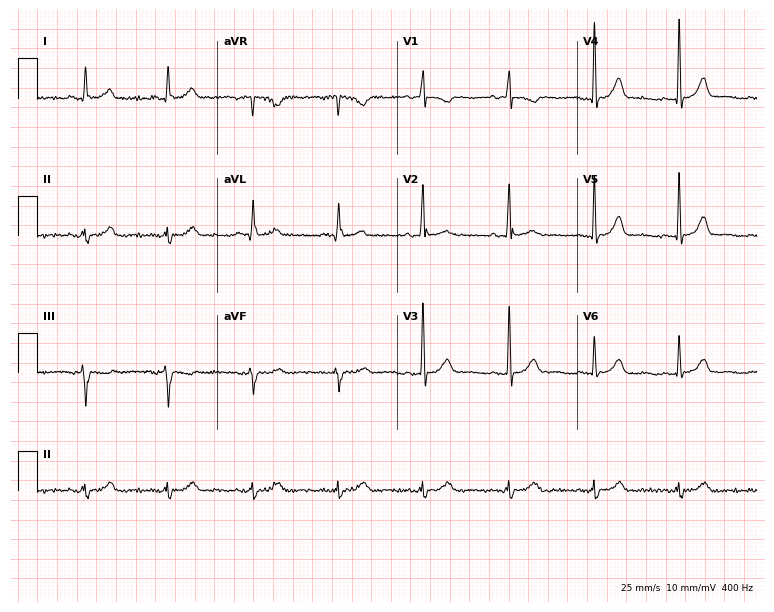
Resting 12-lead electrocardiogram. Patient: a 71-year-old female. None of these six findings is recorded: first-degree AV block, right bundle branch block (RBBB), left bundle branch block (LBBB), sinus bradycardia, atrial fibrillation (AF), sinus tachycardia. Only these six findings were labelled.